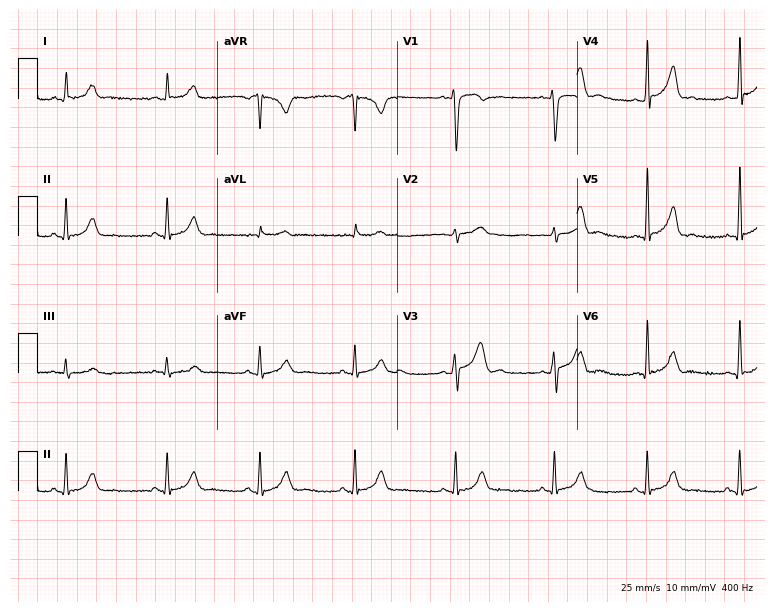
Resting 12-lead electrocardiogram (7.3-second recording at 400 Hz). Patient: a male, 46 years old. None of these six findings is recorded: first-degree AV block, right bundle branch block, left bundle branch block, sinus bradycardia, atrial fibrillation, sinus tachycardia. Only these six findings were labelled.